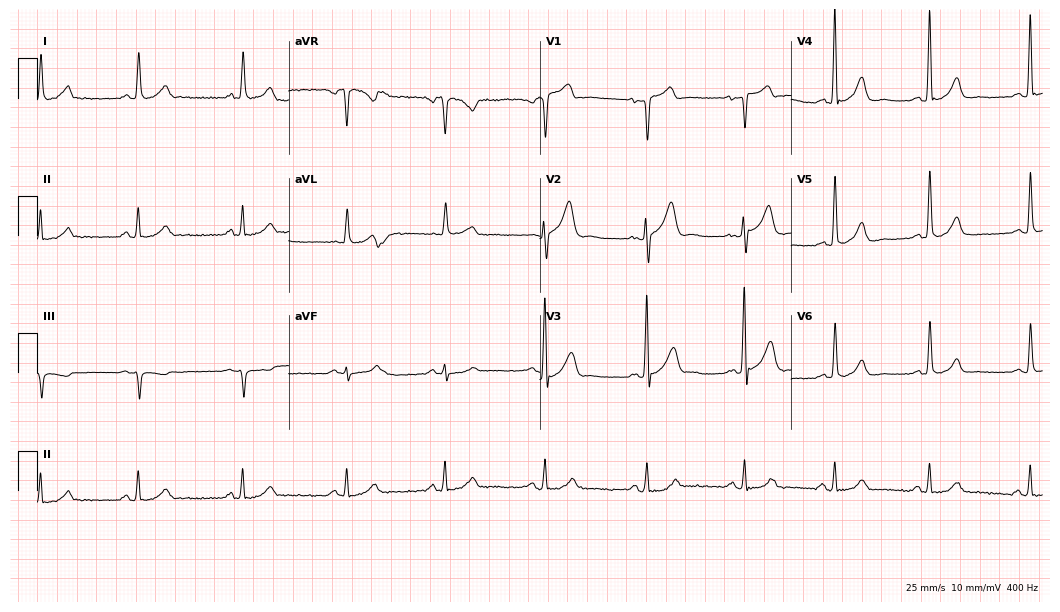
12-lead ECG from a 50-year-old male. Labelled as a normal ECG.